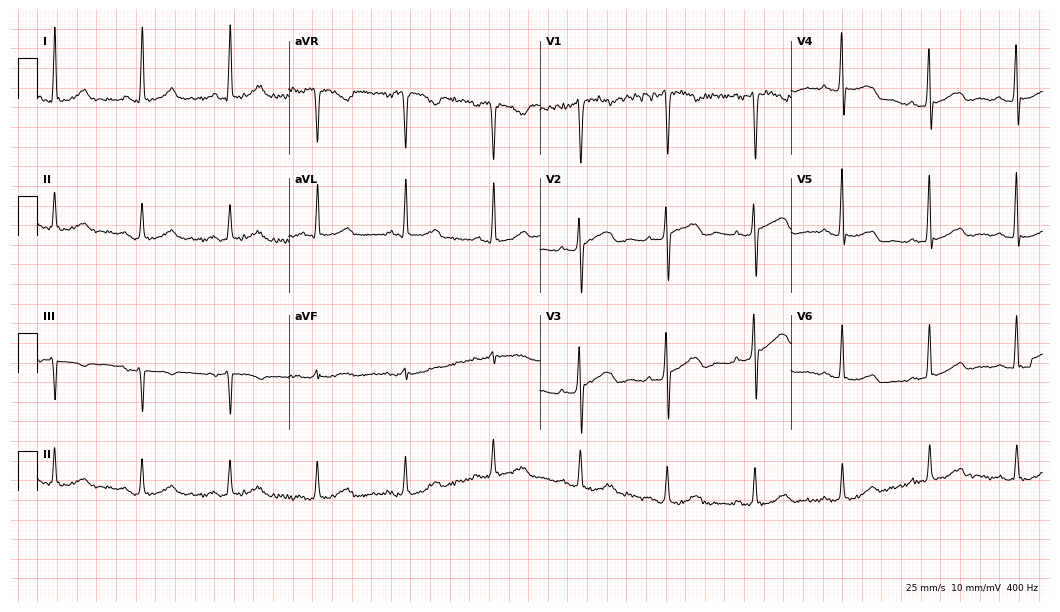
Electrocardiogram (10.2-second recording at 400 Hz), a female, 63 years old. Of the six screened findings (first-degree AV block, right bundle branch block, left bundle branch block, sinus bradycardia, atrial fibrillation, sinus tachycardia), none is recorded.